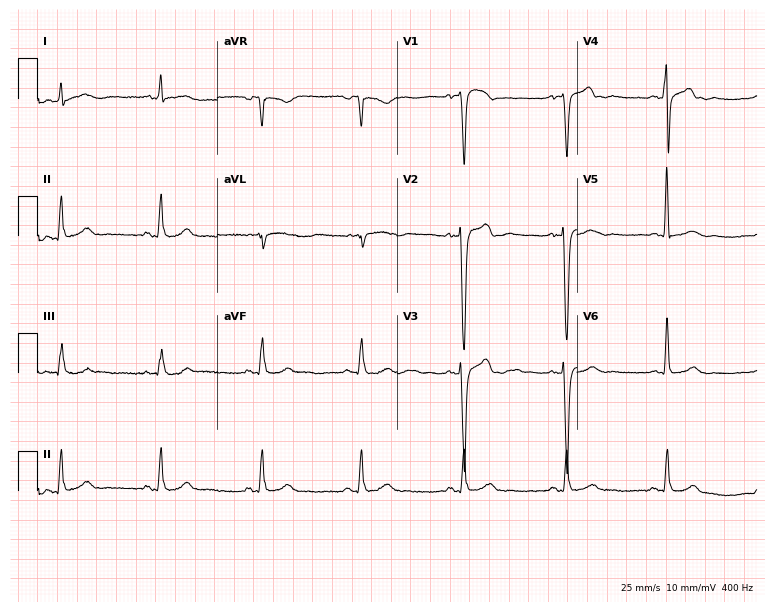
12-lead ECG from a male patient, 41 years old. No first-degree AV block, right bundle branch block (RBBB), left bundle branch block (LBBB), sinus bradycardia, atrial fibrillation (AF) or sinus tachycardia recorded for this tracing. Only these six findings were labelled.